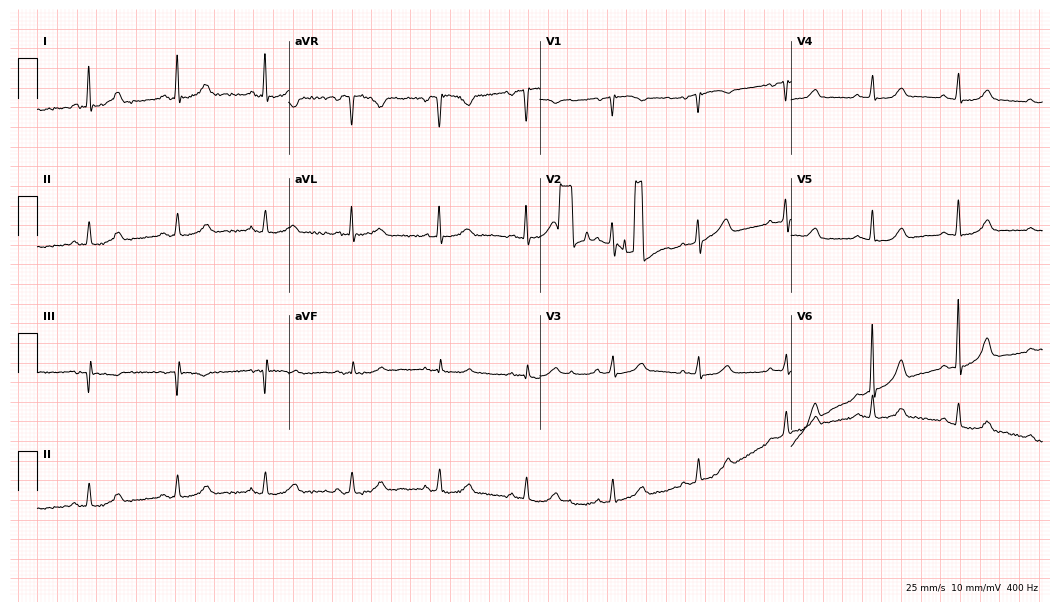
ECG — an 83-year-old female patient. Labelled as a normal ECG.